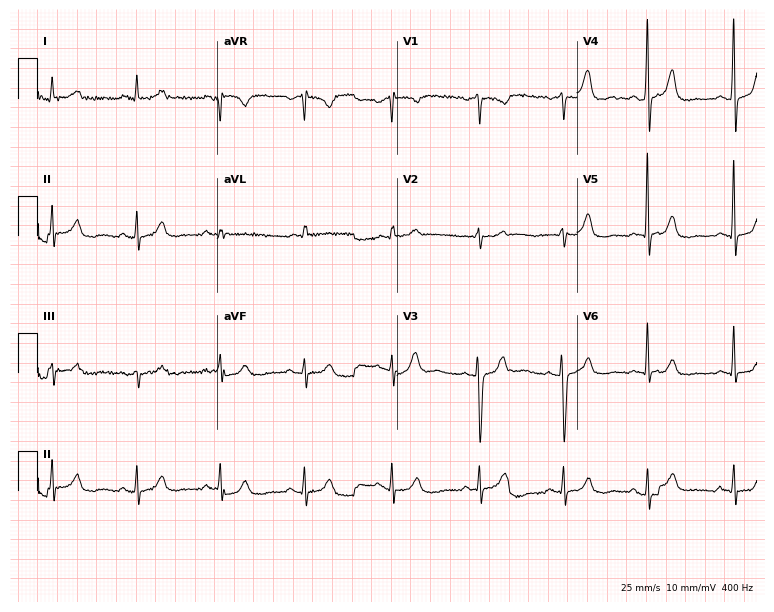
Standard 12-lead ECG recorded from a female patient, 76 years old. Read as a normal ECG.